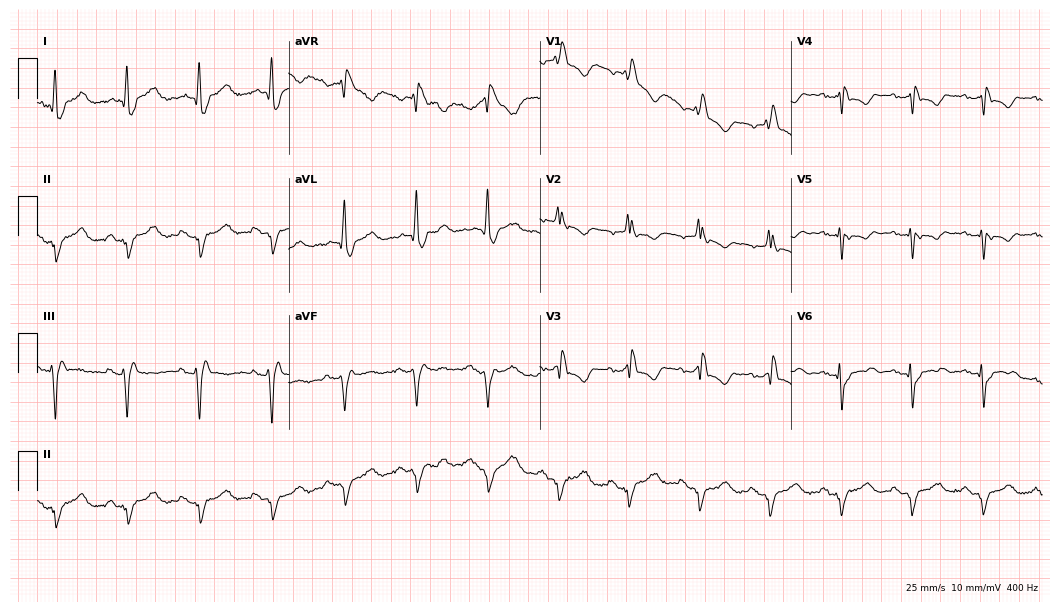
12-lead ECG from a 67-year-old female. Findings include right bundle branch block.